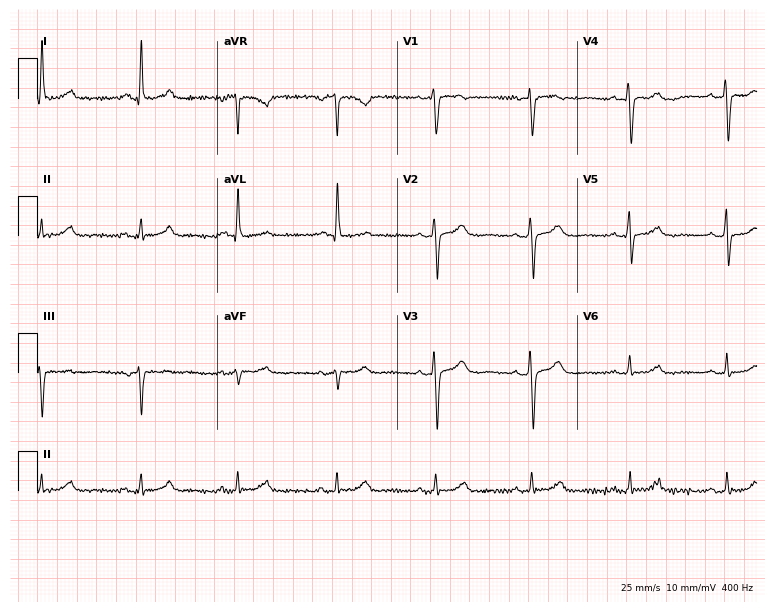
12-lead ECG from a 52-year-old female. Screened for six findings — first-degree AV block, right bundle branch block, left bundle branch block, sinus bradycardia, atrial fibrillation, sinus tachycardia — none is recorded.